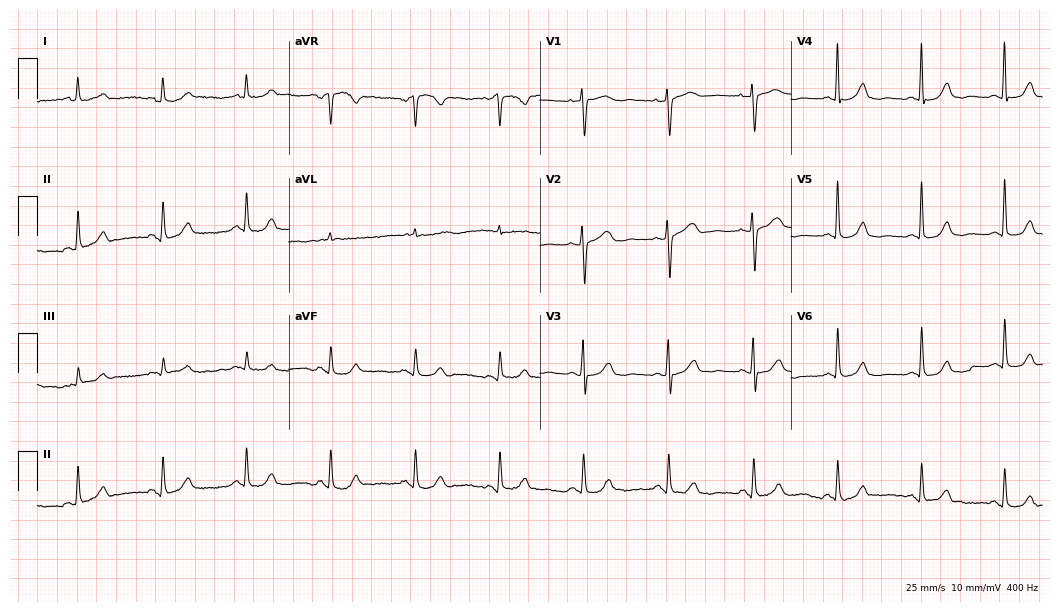
ECG (10.2-second recording at 400 Hz) — a 61-year-old female. Labelled as a normal ECG.